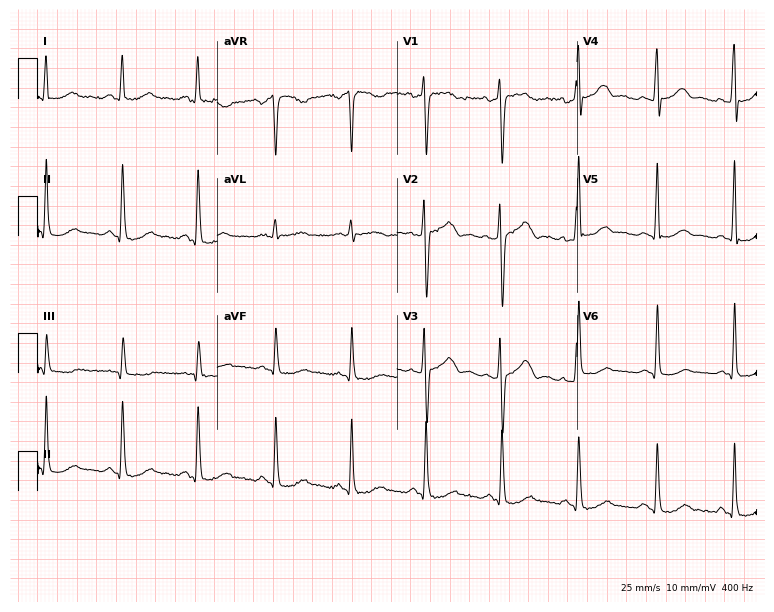
12-lead ECG (7.3-second recording at 400 Hz) from a female, 37 years old. Screened for six findings — first-degree AV block, right bundle branch block, left bundle branch block, sinus bradycardia, atrial fibrillation, sinus tachycardia — none is recorded.